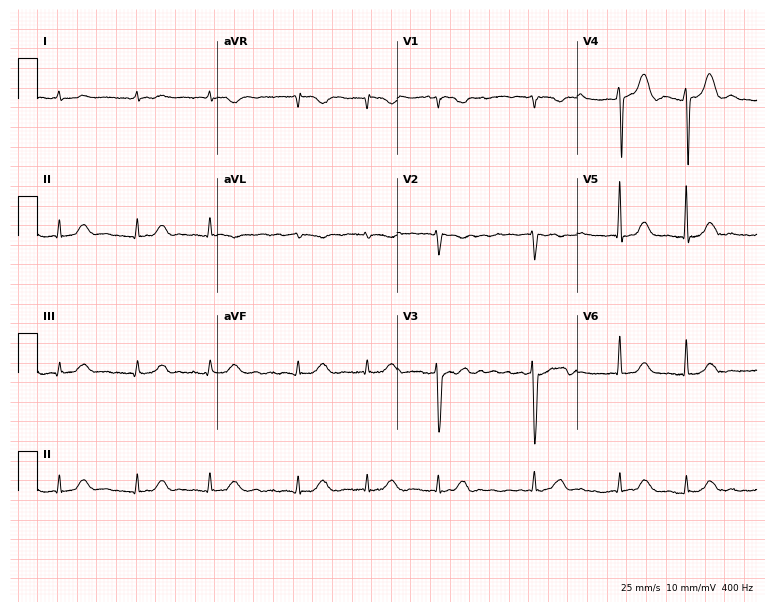
12-lead ECG (7.3-second recording at 400 Hz) from an 85-year-old female. Screened for six findings — first-degree AV block, right bundle branch block, left bundle branch block, sinus bradycardia, atrial fibrillation, sinus tachycardia — none is recorded.